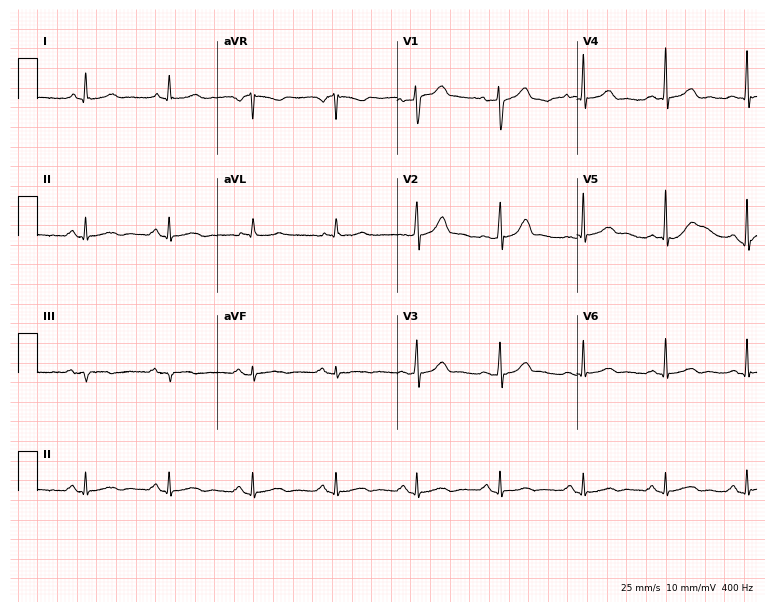
Resting 12-lead electrocardiogram (7.3-second recording at 400 Hz). Patient: a male, 42 years old. Read as a normal ECG.